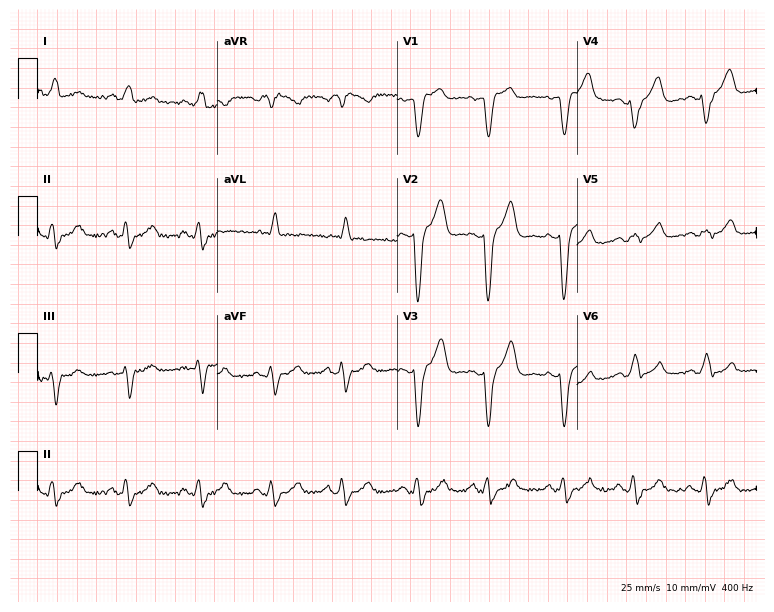
ECG — a man, 62 years old. Findings include left bundle branch block (LBBB).